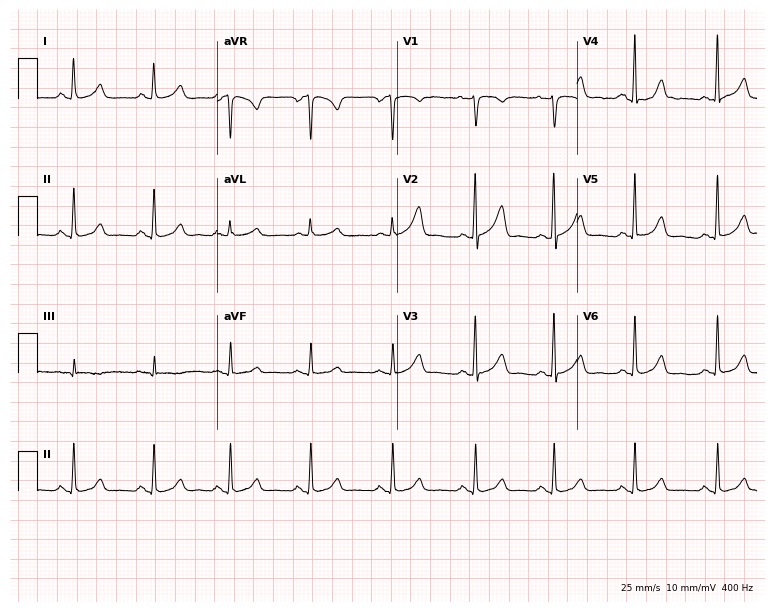
Standard 12-lead ECG recorded from a 32-year-old woman. Read as a normal ECG.